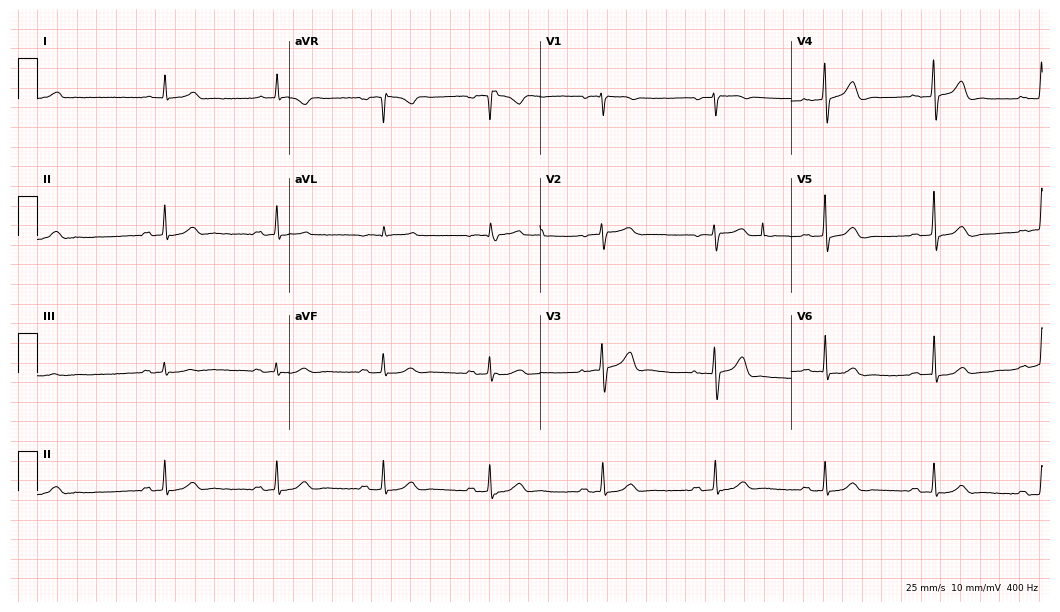
ECG (10.2-second recording at 400 Hz) — a 77-year-old male patient. Findings include first-degree AV block.